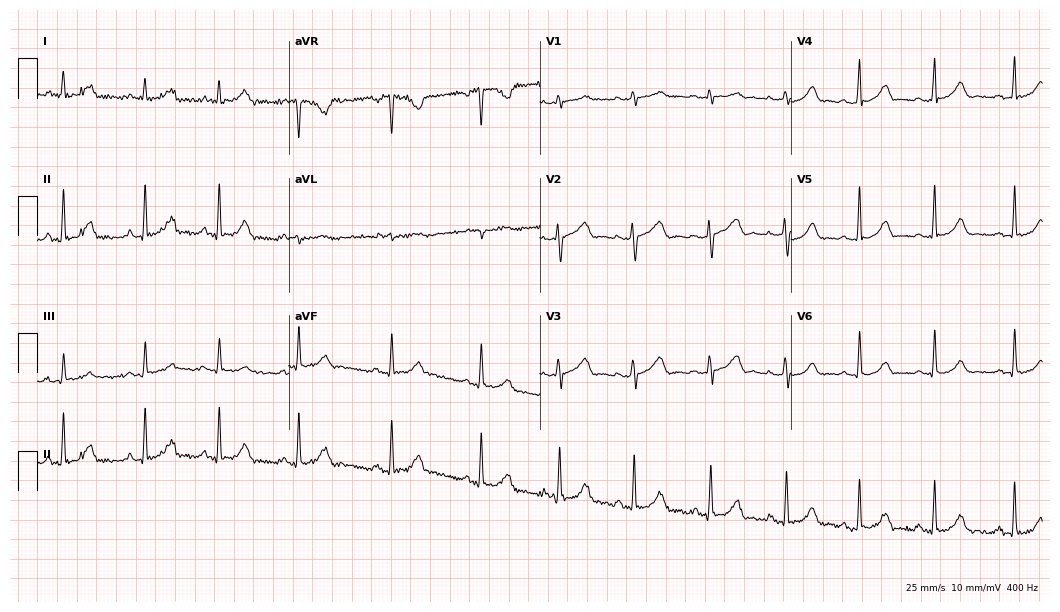
Standard 12-lead ECG recorded from a 26-year-old woman. None of these six findings is recorded: first-degree AV block, right bundle branch block, left bundle branch block, sinus bradycardia, atrial fibrillation, sinus tachycardia. Other findings, if any, are not listed.